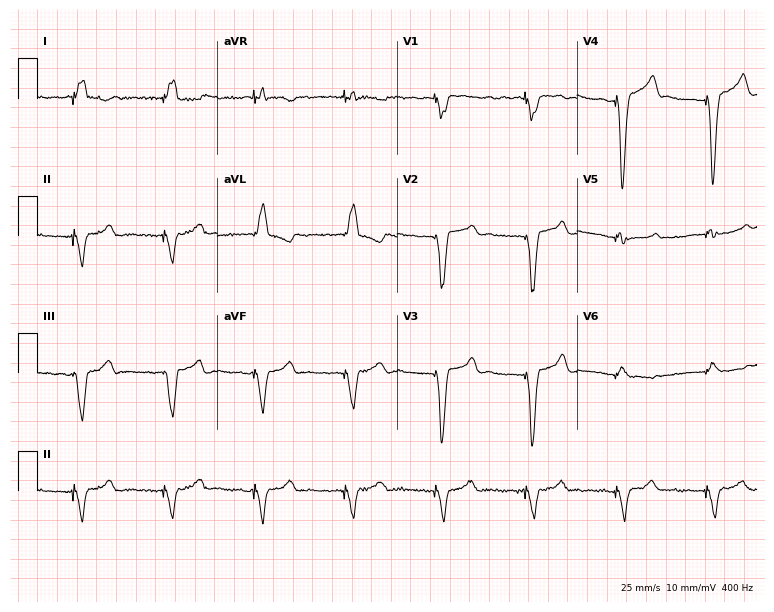
12-lead ECG from a male patient, 63 years old (7.3-second recording at 400 Hz). No first-degree AV block, right bundle branch block (RBBB), left bundle branch block (LBBB), sinus bradycardia, atrial fibrillation (AF) or sinus tachycardia recorded for this tracing.